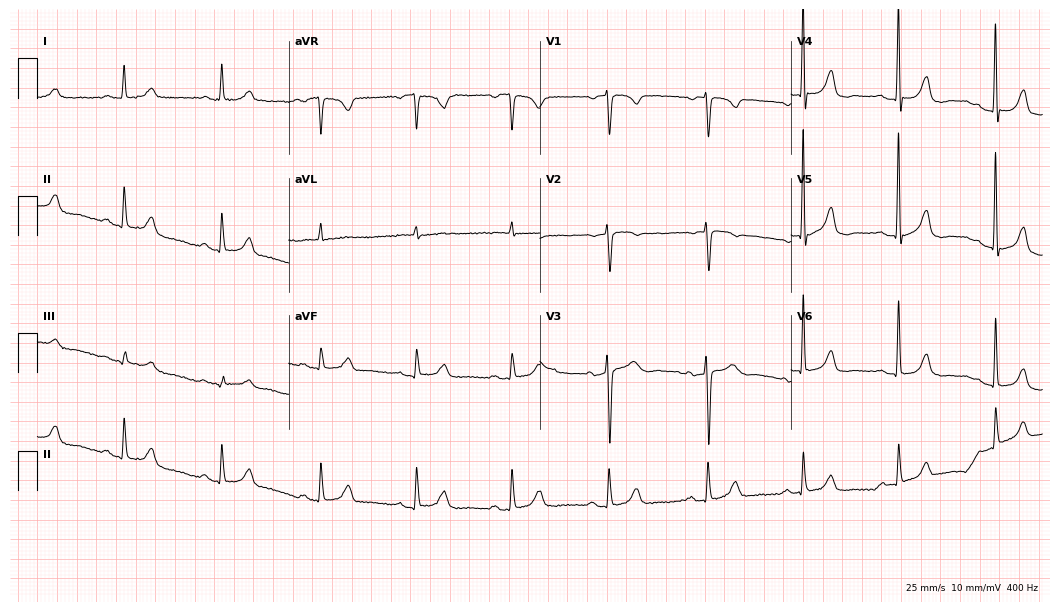
12-lead ECG from a woman, 69 years old. Recorded interpretation: within normal limits.